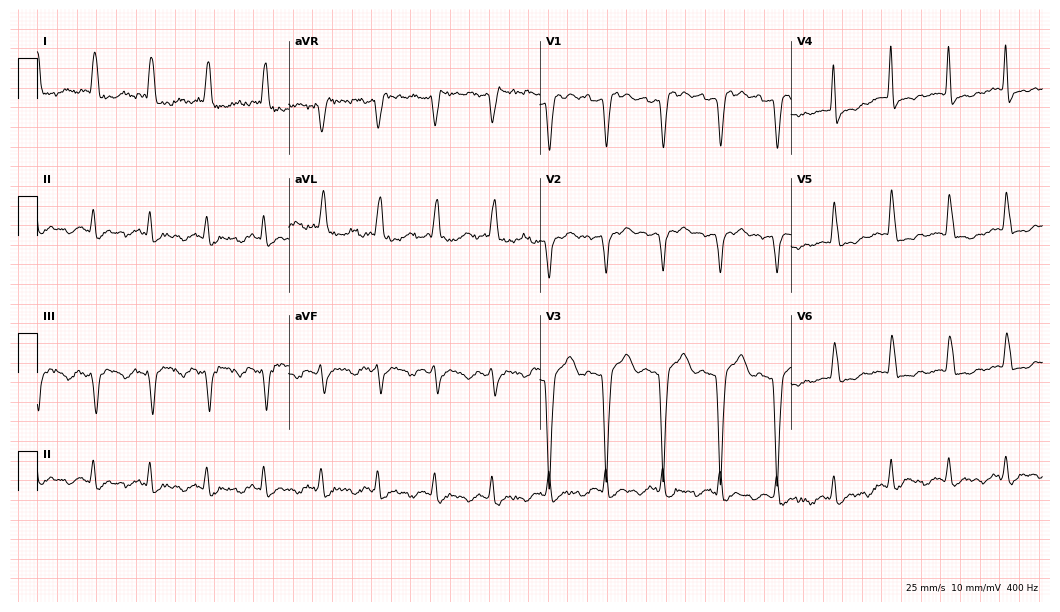
Resting 12-lead electrocardiogram. Patient: a woman, 76 years old. The tracing shows left bundle branch block, sinus tachycardia (a sinus rate of 100 beats per minute or more).